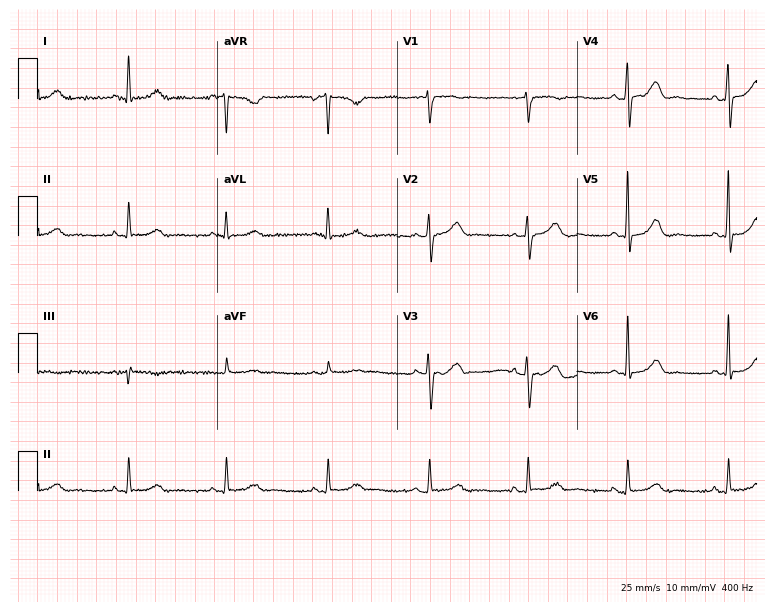
Electrocardiogram (7.3-second recording at 400 Hz), a female, 62 years old. Overall reading on record: normal ECG.